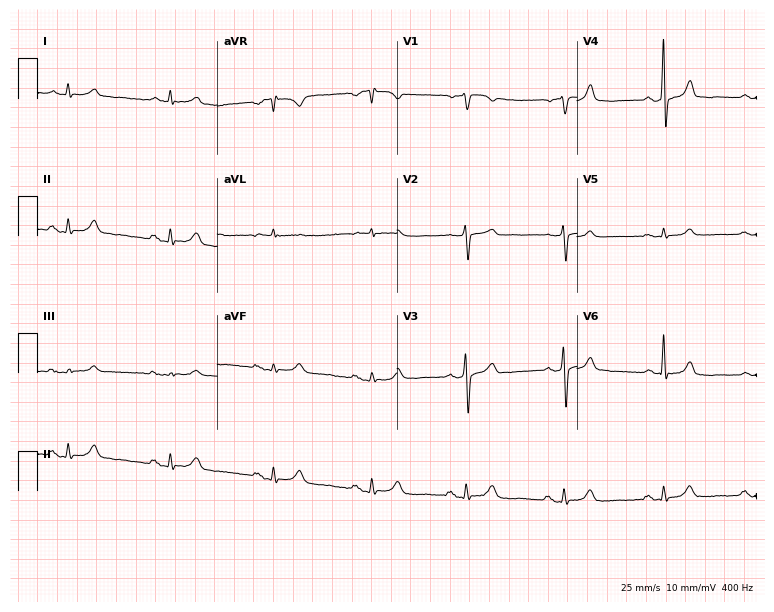
Standard 12-lead ECG recorded from a male patient, 67 years old. None of these six findings is recorded: first-degree AV block, right bundle branch block, left bundle branch block, sinus bradycardia, atrial fibrillation, sinus tachycardia.